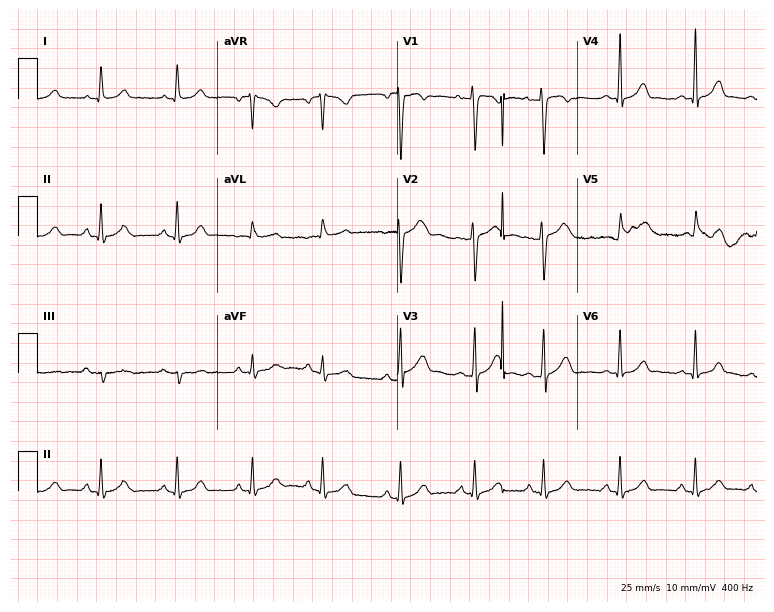
ECG — a female patient, 28 years old. Labelled as a normal ECG.